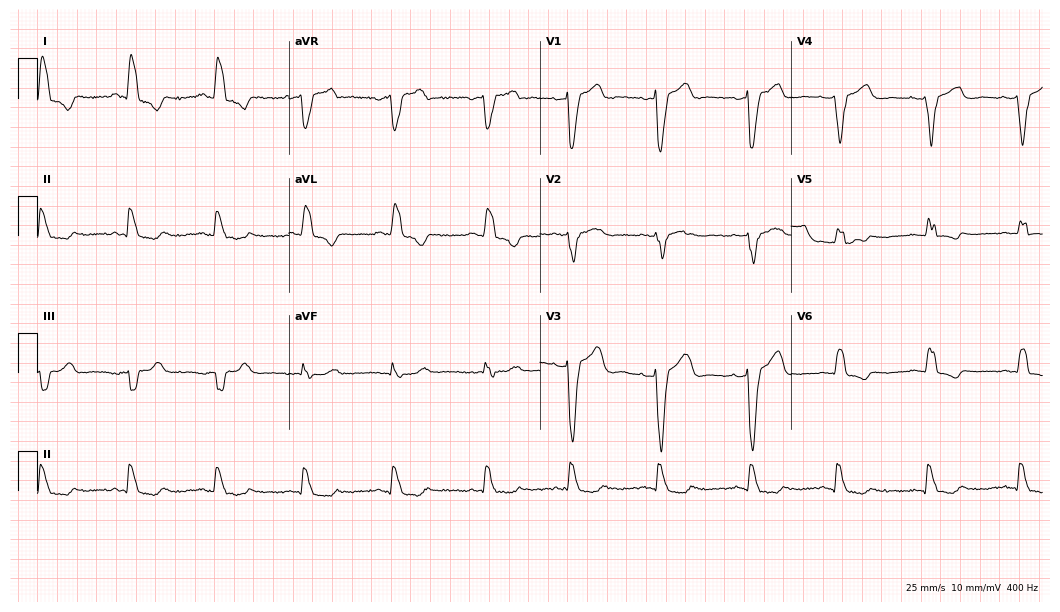
12-lead ECG from a 61-year-old female. Shows left bundle branch block.